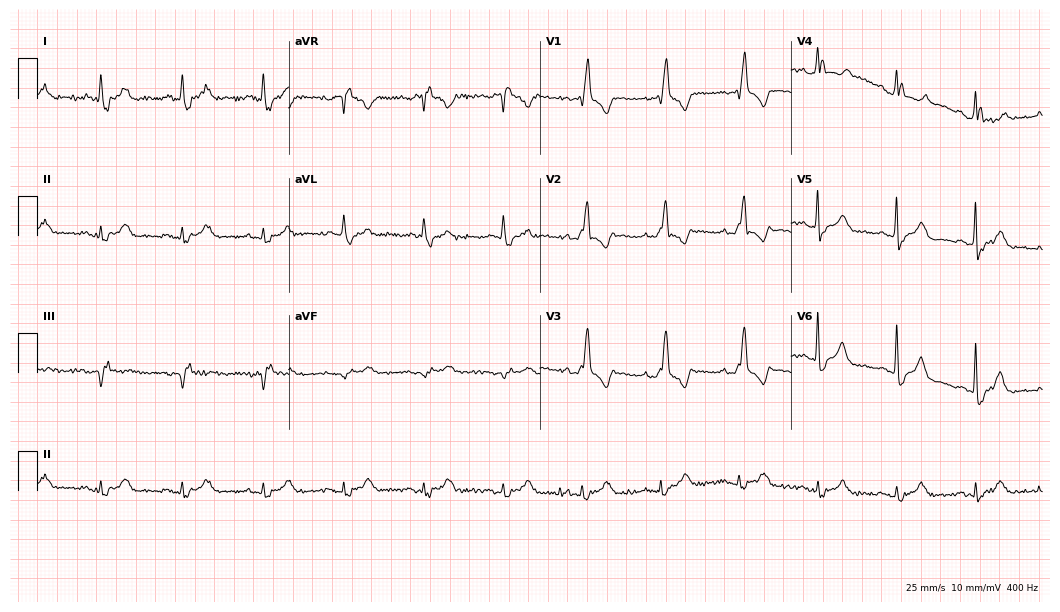
12-lead ECG (10.2-second recording at 400 Hz) from a 71-year-old man. Findings include right bundle branch block.